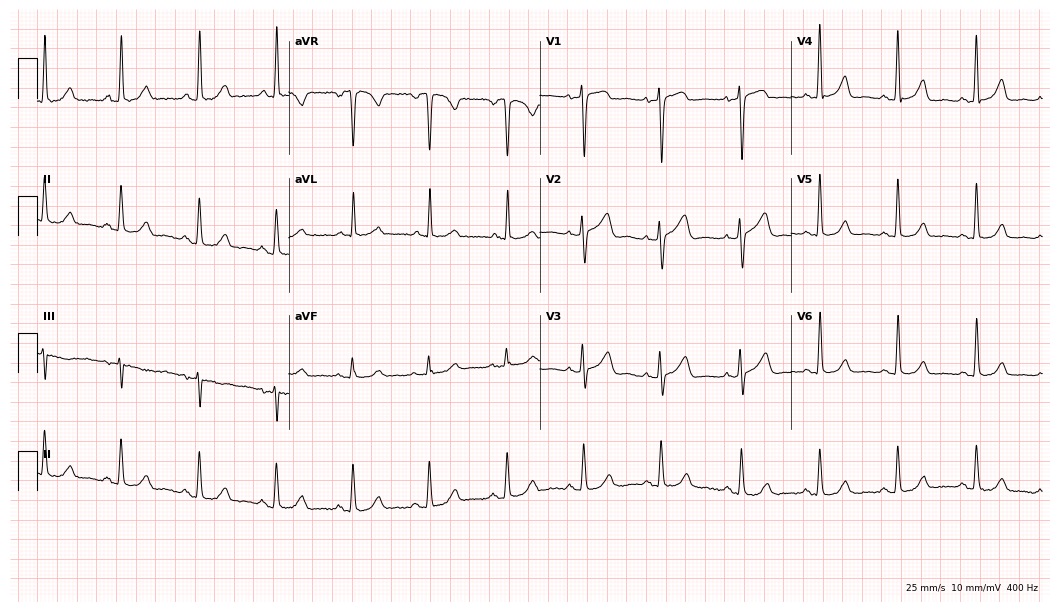
Resting 12-lead electrocardiogram (10.2-second recording at 400 Hz). Patient: a female, 68 years old. Read as a normal ECG.